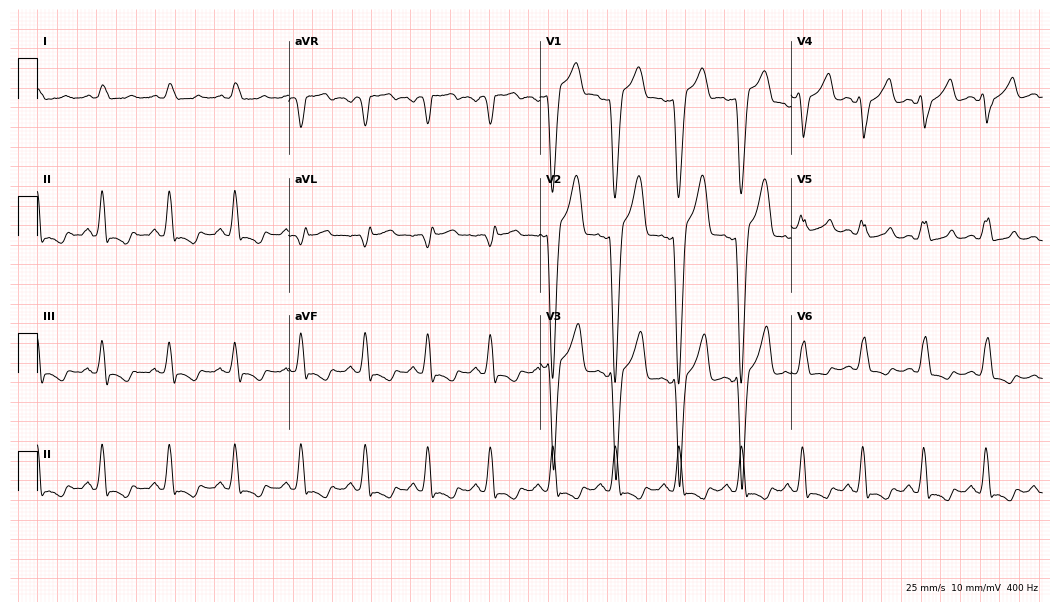
12-lead ECG from a 57-year-old male. Findings include left bundle branch block.